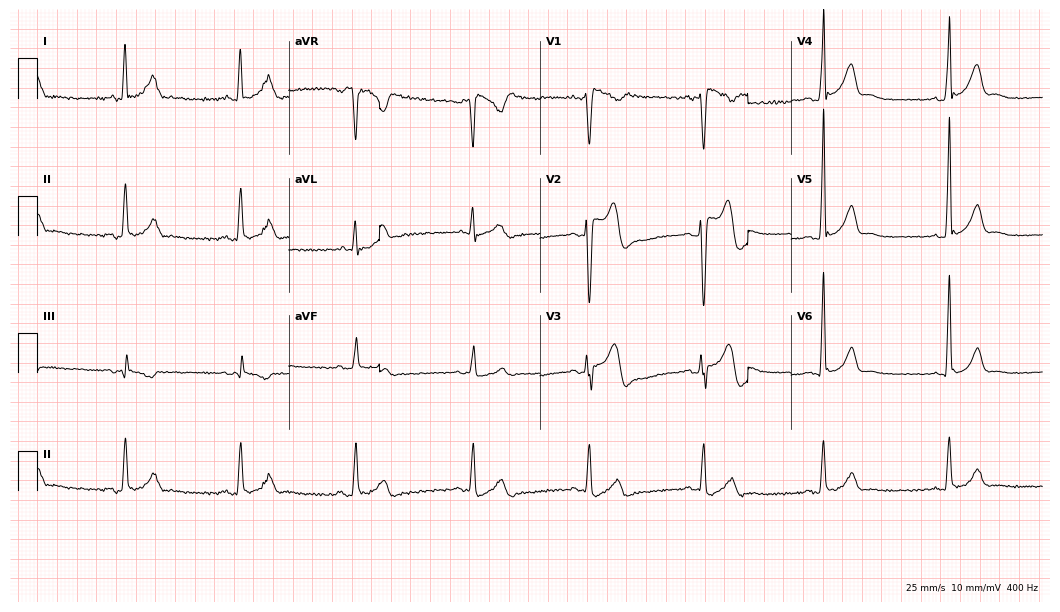
12-lead ECG from a 38-year-old man (10.2-second recording at 400 Hz). Shows sinus bradycardia (a sinus rate of 50 beats per minute or less).